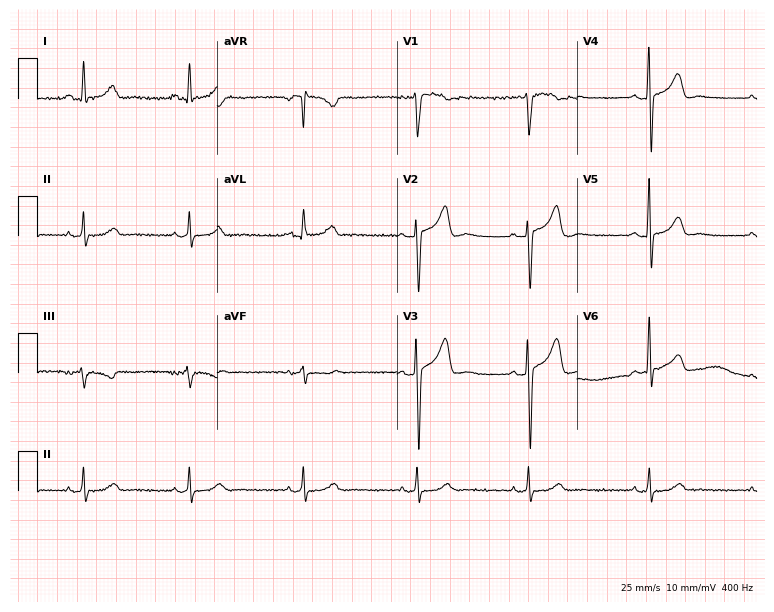
Standard 12-lead ECG recorded from a male patient, 25 years old (7.3-second recording at 400 Hz). Read as a normal ECG.